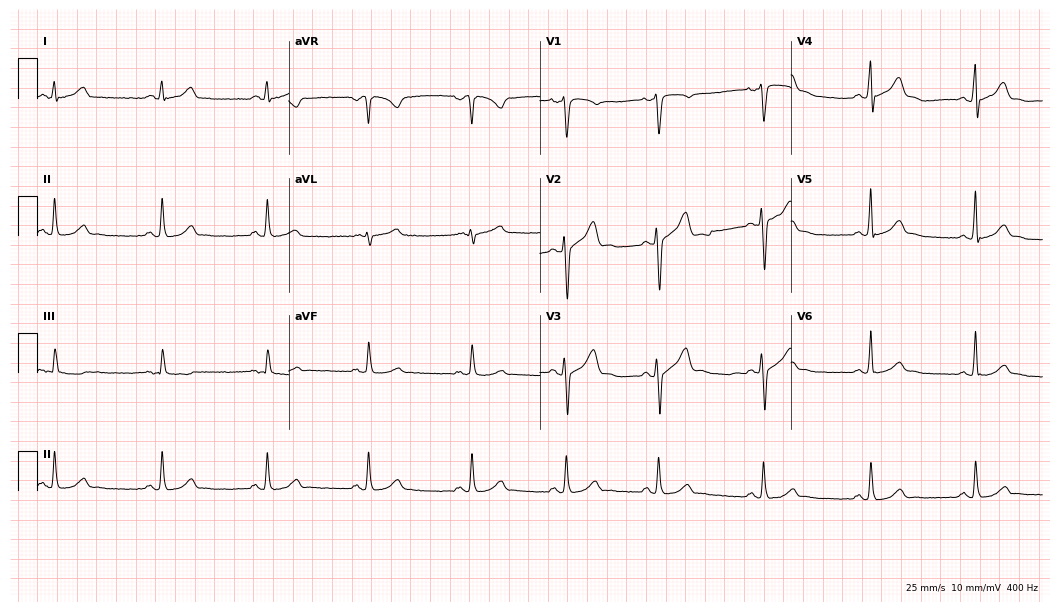
Resting 12-lead electrocardiogram (10.2-second recording at 400 Hz). Patient: a 30-year-old male. Read as a normal ECG.